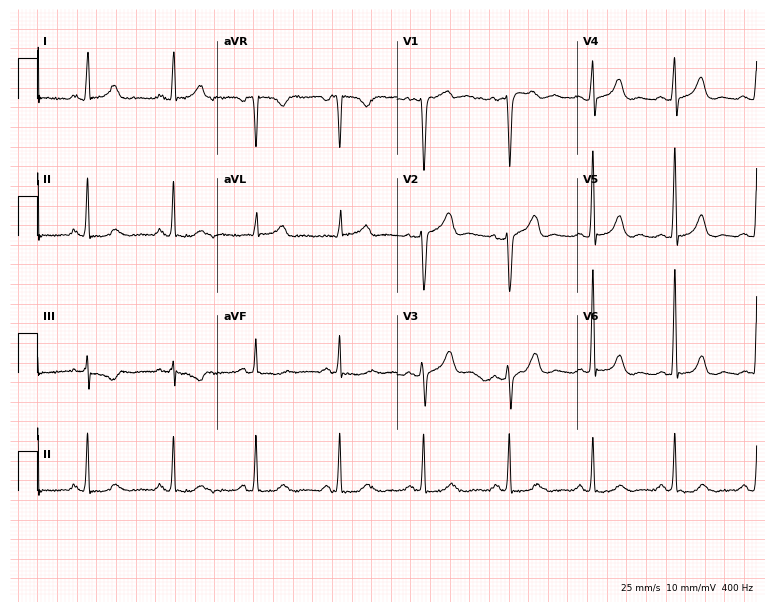
12-lead ECG from a 37-year-old female. No first-degree AV block, right bundle branch block (RBBB), left bundle branch block (LBBB), sinus bradycardia, atrial fibrillation (AF) or sinus tachycardia recorded for this tracing.